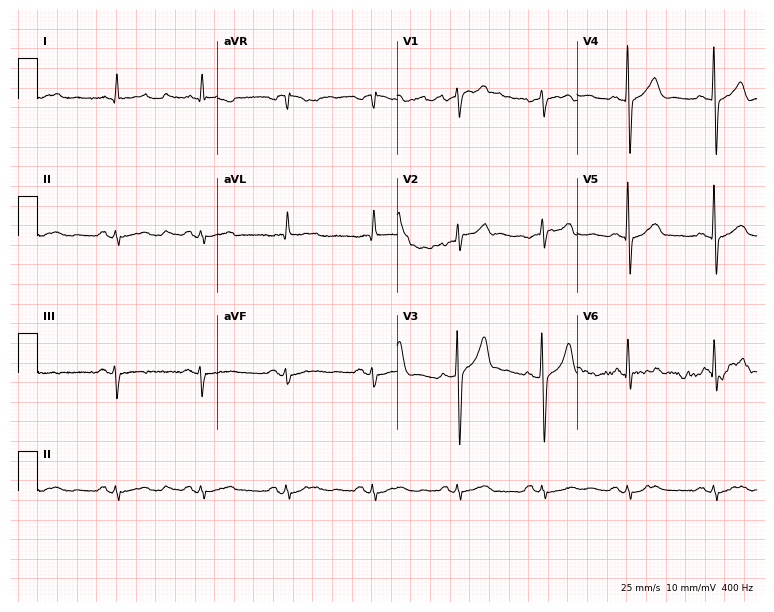
12-lead ECG (7.3-second recording at 400 Hz) from a 74-year-old male. Labelled as a normal ECG.